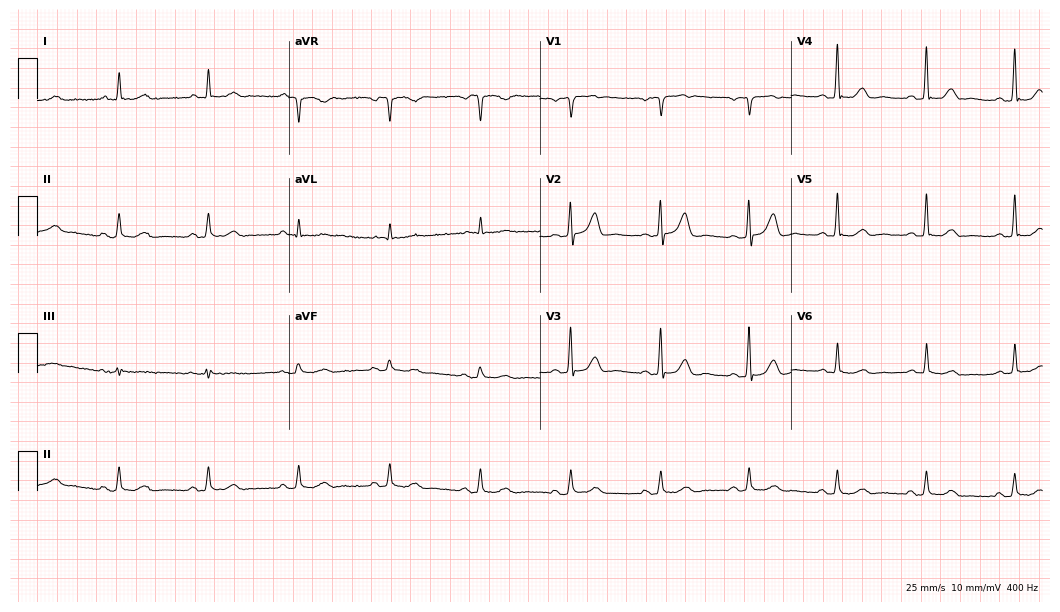
12-lead ECG (10.2-second recording at 400 Hz) from a male patient, 69 years old. Labelled as a normal ECG.